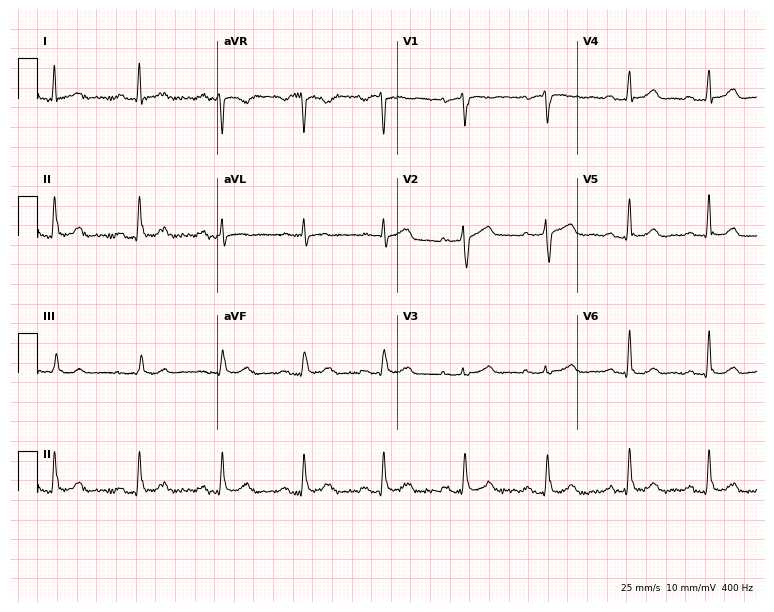
Standard 12-lead ECG recorded from a 56-year-old woman (7.3-second recording at 400 Hz). Read as a normal ECG.